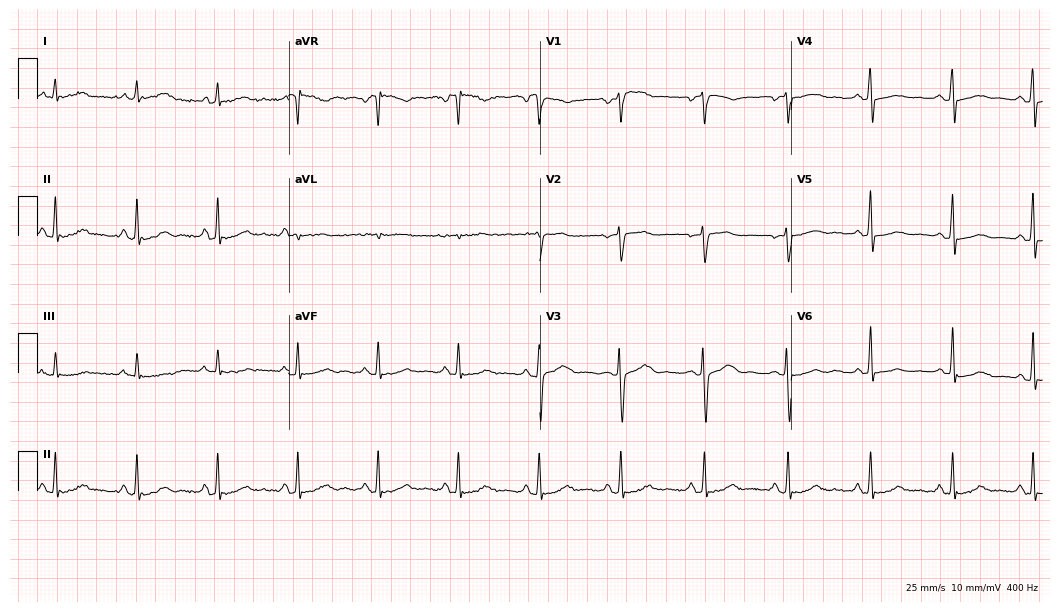
12-lead ECG (10.2-second recording at 400 Hz) from a female patient, 47 years old. Labelled as a normal ECG.